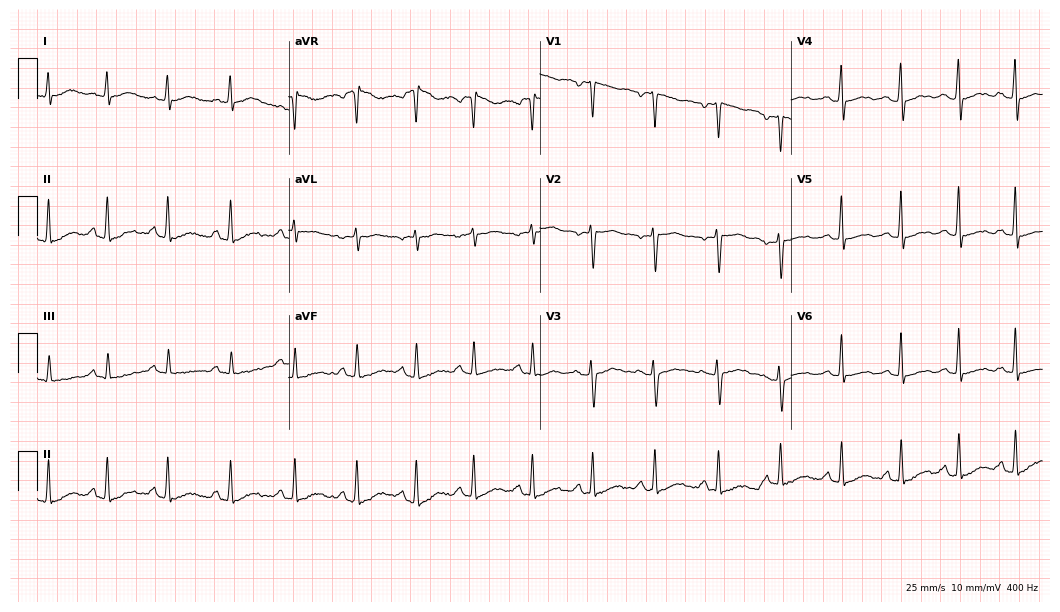
Electrocardiogram, a female patient, 55 years old. Of the six screened findings (first-degree AV block, right bundle branch block, left bundle branch block, sinus bradycardia, atrial fibrillation, sinus tachycardia), none is recorded. Only these six findings were labelled.